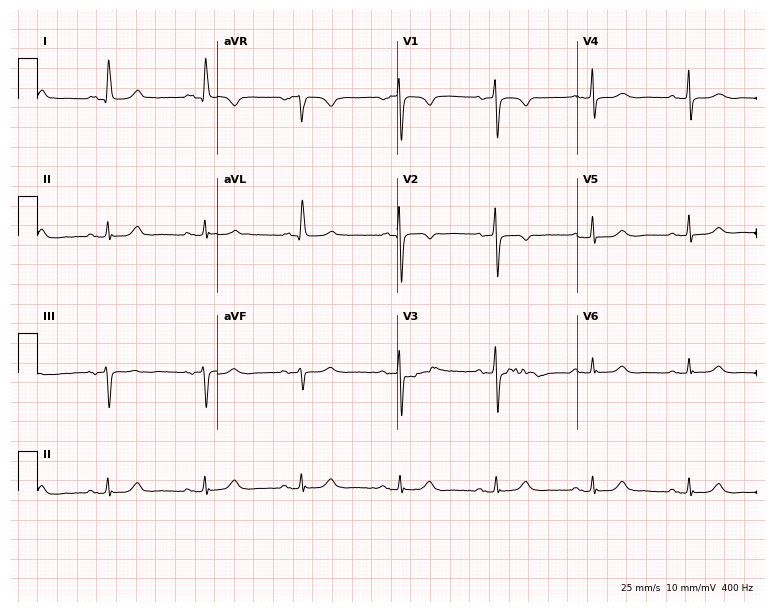
ECG — a 65-year-old female. Screened for six findings — first-degree AV block, right bundle branch block, left bundle branch block, sinus bradycardia, atrial fibrillation, sinus tachycardia — none is recorded.